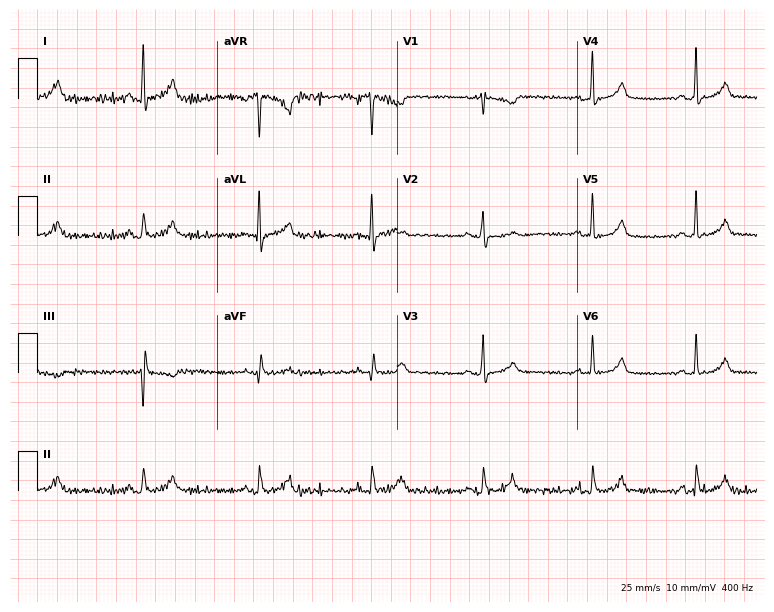
Electrocardiogram (7.3-second recording at 400 Hz), a 47-year-old female. Overall reading on record: normal ECG.